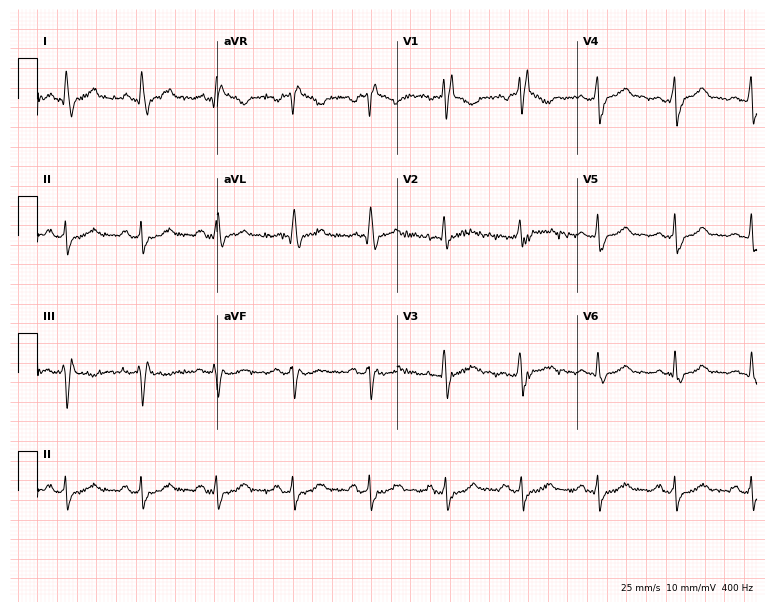
Resting 12-lead electrocardiogram (7.3-second recording at 400 Hz). Patient: a 46-year-old man. None of these six findings is recorded: first-degree AV block, right bundle branch block, left bundle branch block, sinus bradycardia, atrial fibrillation, sinus tachycardia.